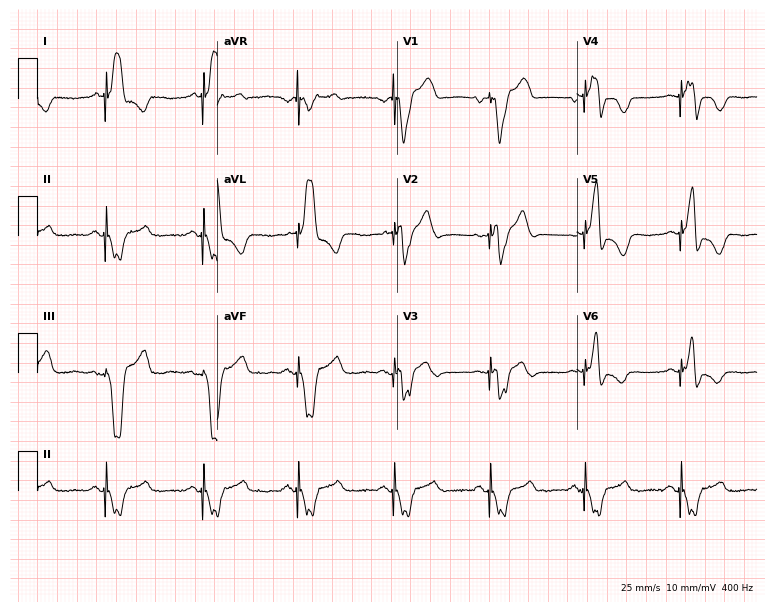
ECG (7.3-second recording at 400 Hz) — a male patient, 77 years old. Screened for six findings — first-degree AV block, right bundle branch block (RBBB), left bundle branch block (LBBB), sinus bradycardia, atrial fibrillation (AF), sinus tachycardia — none is recorded.